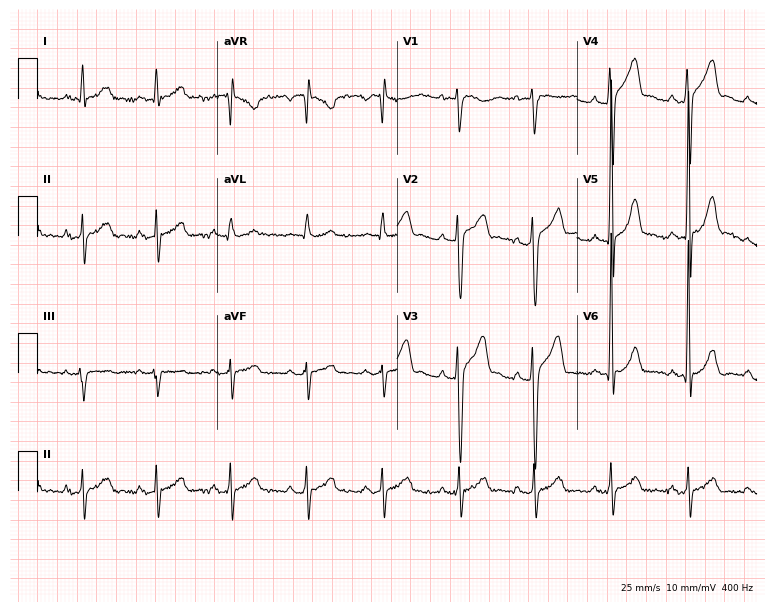
12-lead ECG (7.3-second recording at 400 Hz) from a 53-year-old man. Labelled as a normal ECG.